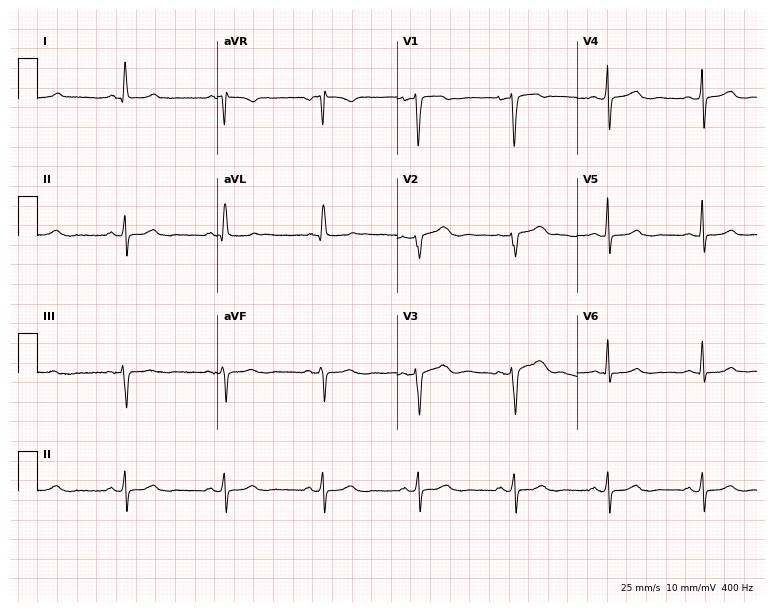
12-lead ECG from a 71-year-old female. Screened for six findings — first-degree AV block, right bundle branch block, left bundle branch block, sinus bradycardia, atrial fibrillation, sinus tachycardia — none is recorded. Only these six findings were labelled.